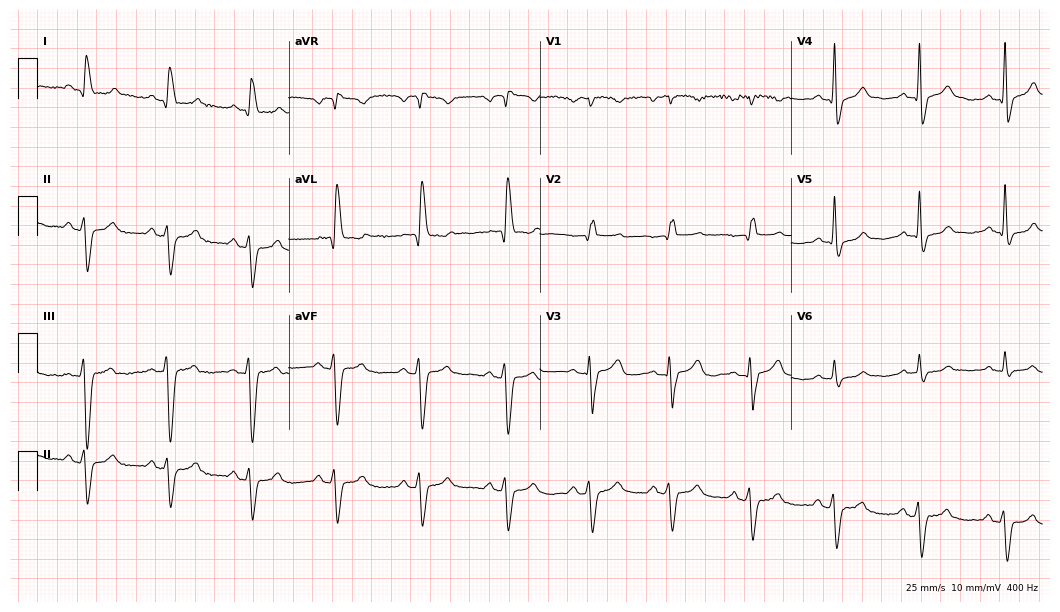
Electrocardiogram, an 82-year-old female patient. Interpretation includes right bundle branch block (RBBB).